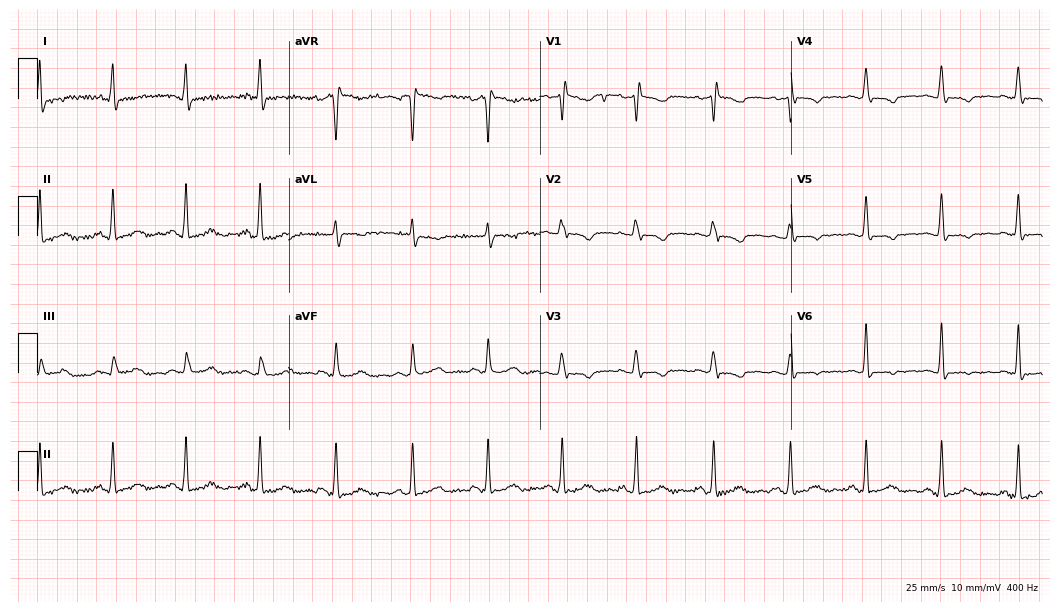
12-lead ECG from a woman, 48 years old. No first-degree AV block, right bundle branch block (RBBB), left bundle branch block (LBBB), sinus bradycardia, atrial fibrillation (AF) or sinus tachycardia recorded for this tracing.